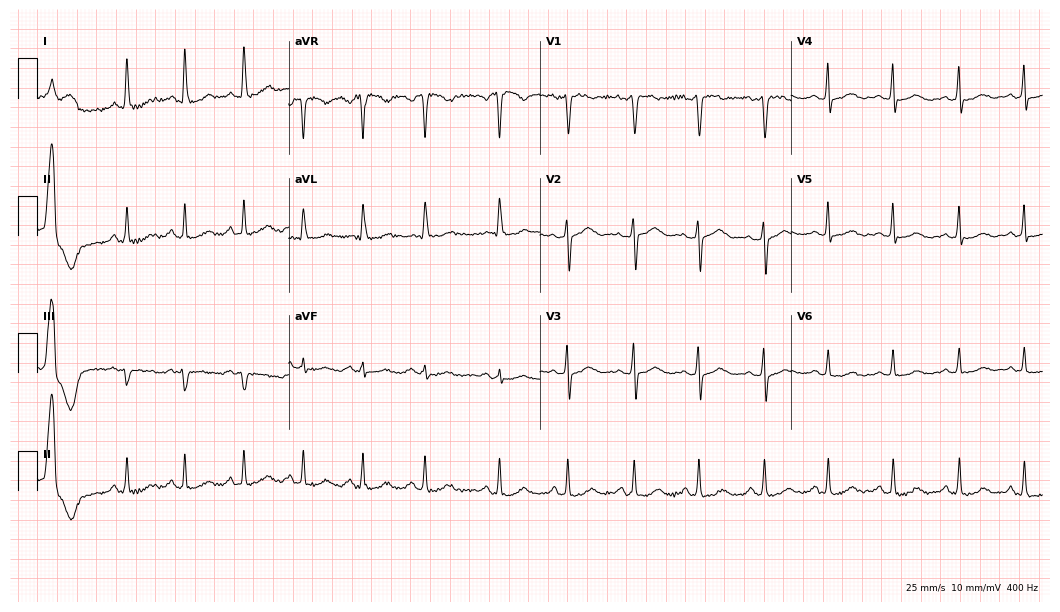
12-lead ECG from a female patient, 50 years old (10.2-second recording at 400 Hz). No first-degree AV block, right bundle branch block, left bundle branch block, sinus bradycardia, atrial fibrillation or sinus tachycardia recorded for this tracing. Other findings, if any, are not listed.